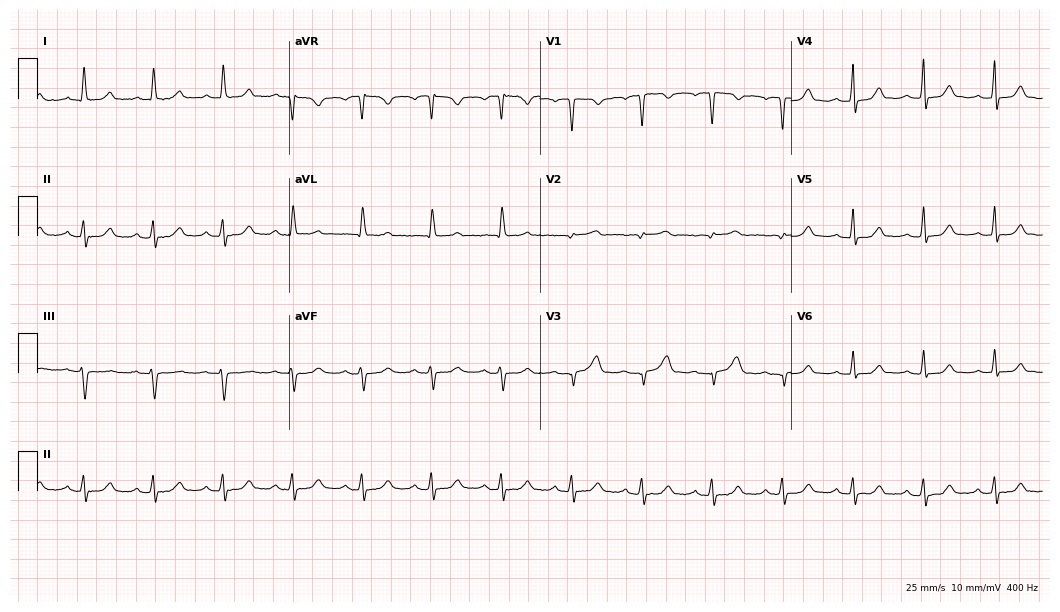
Electrocardiogram (10.2-second recording at 400 Hz), a woman, 57 years old. Of the six screened findings (first-degree AV block, right bundle branch block (RBBB), left bundle branch block (LBBB), sinus bradycardia, atrial fibrillation (AF), sinus tachycardia), none is recorded. Other findings, if any, are not listed.